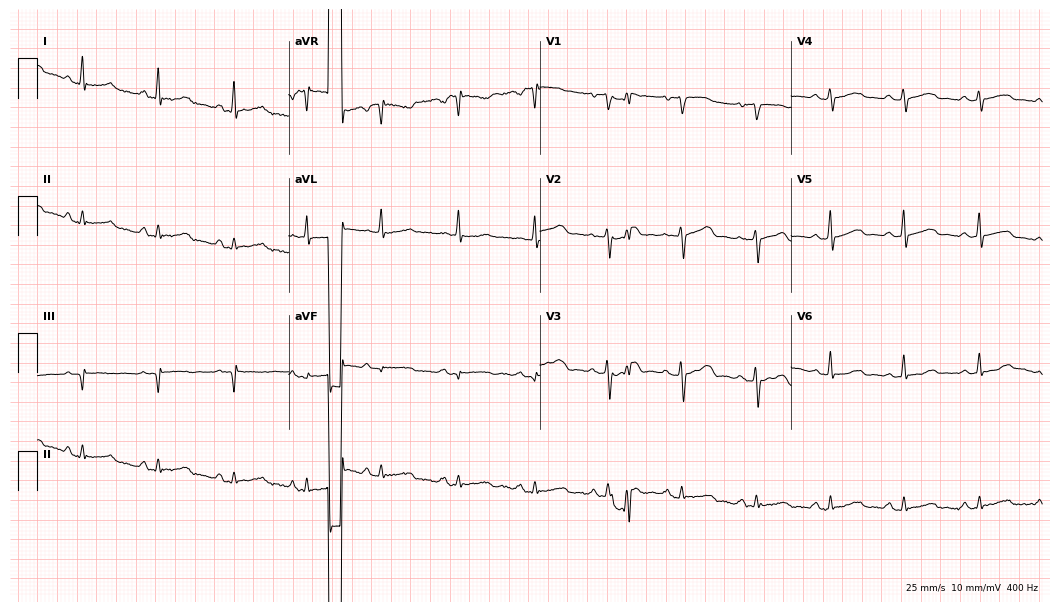
12-lead ECG (10.2-second recording at 400 Hz) from a 51-year-old female. Screened for six findings — first-degree AV block, right bundle branch block, left bundle branch block, sinus bradycardia, atrial fibrillation, sinus tachycardia — none is recorded. Other findings, if any, are not listed.